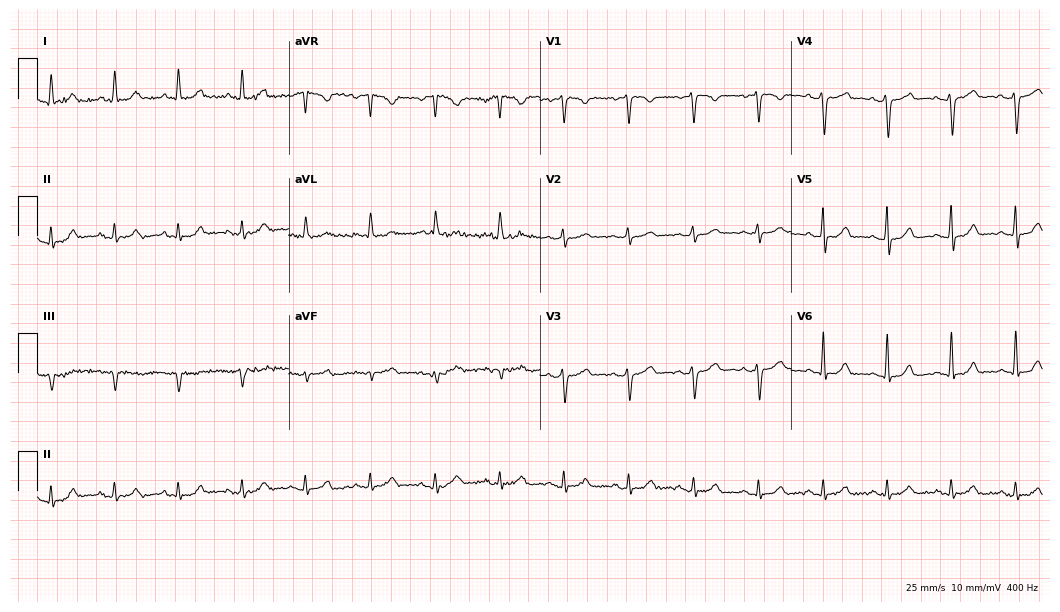
Standard 12-lead ECG recorded from a woman, 31 years old (10.2-second recording at 400 Hz). Read as a normal ECG.